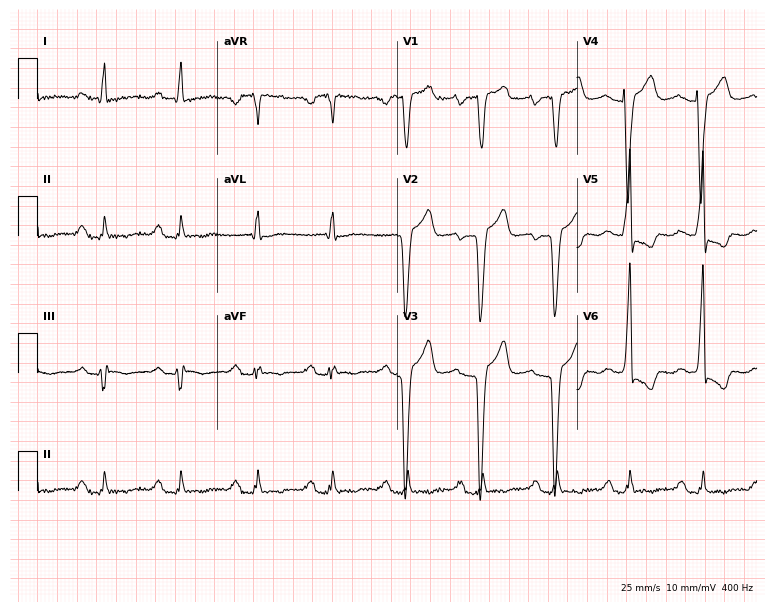
12-lead ECG (7.3-second recording at 400 Hz) from a female, 41 years old. Findings include first-degree AV block.